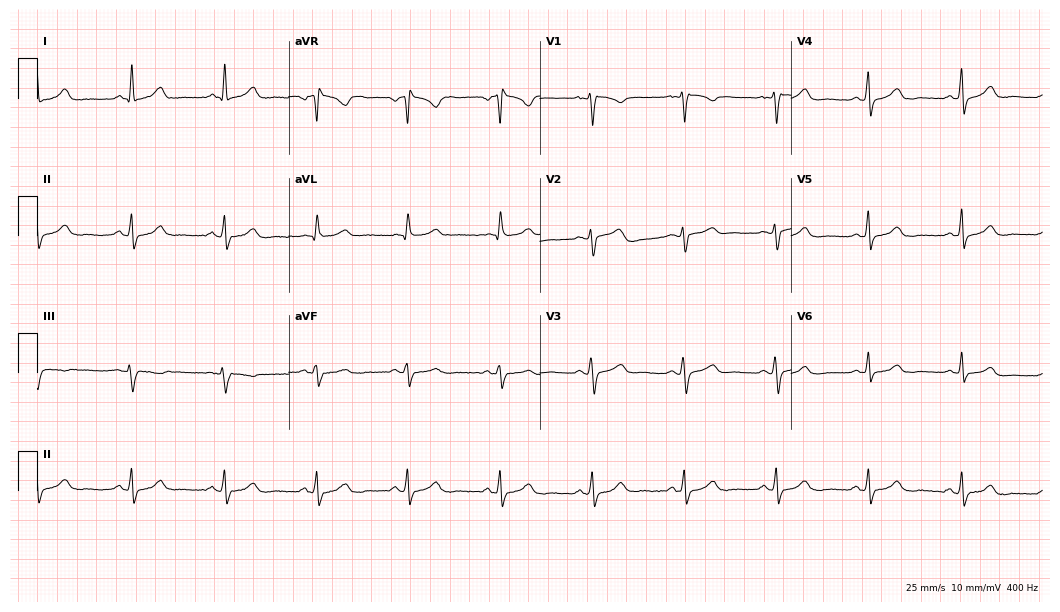
ECG (10.2-second recording at 400 Hz) — a woman, 44 years old. Screened for six findings — first-degree AV block, right bundle branch block (RBBB), left bundle branch block (LBBB), sinus bradycardia, atrial fibrillation (AF), sinus tachycardia — none is recorded.